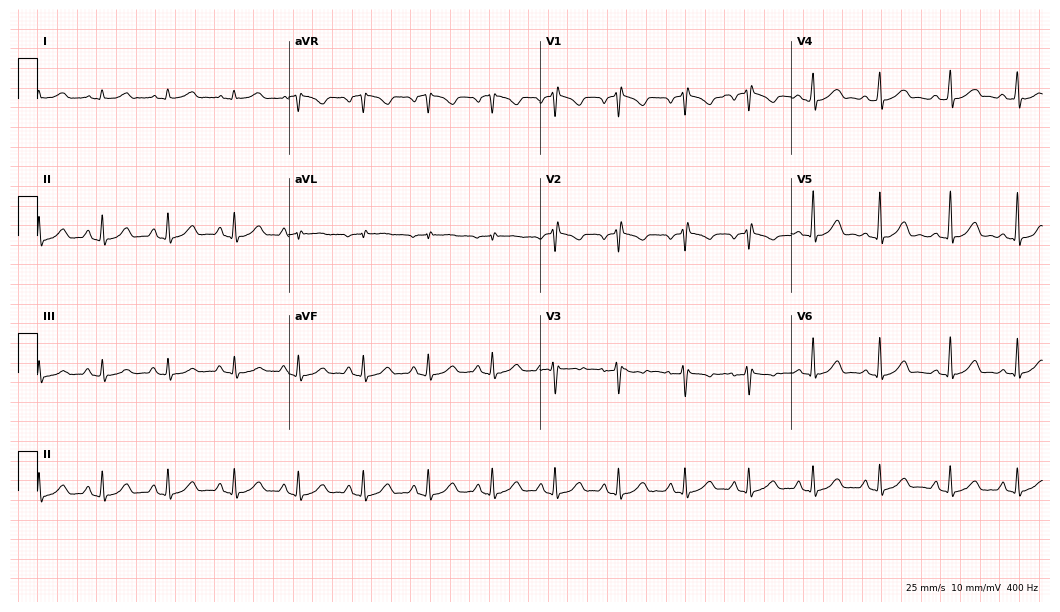
Resting 12-lead electrocardiogram. Patient: a female, 32 years old. Read as a normal ECG.